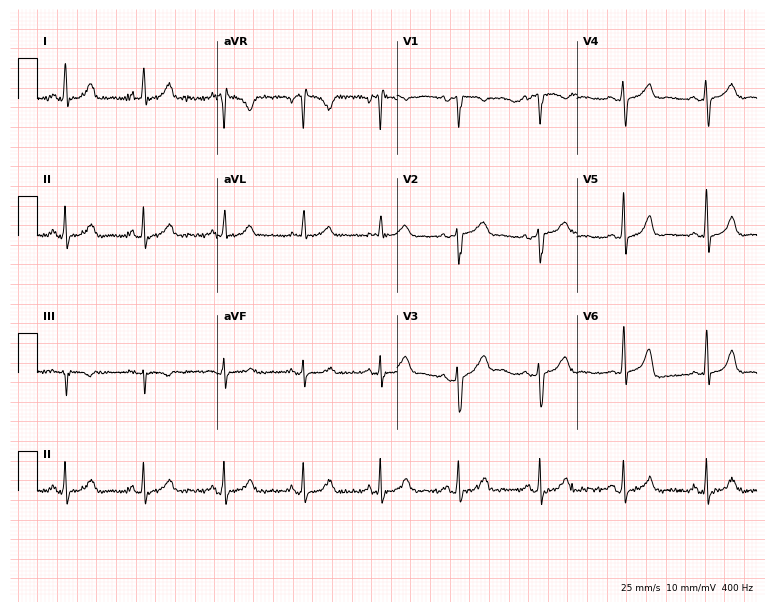
Electrocardiogram (7.3-second recording at 400 Hz), a woman, 41 years old. Of the six screened findings (first-degree AV block, right bundle branch block, left bundle branch block, sinus bradycardia, atrial fibrillation, sinus tachycardia), none is recorded.